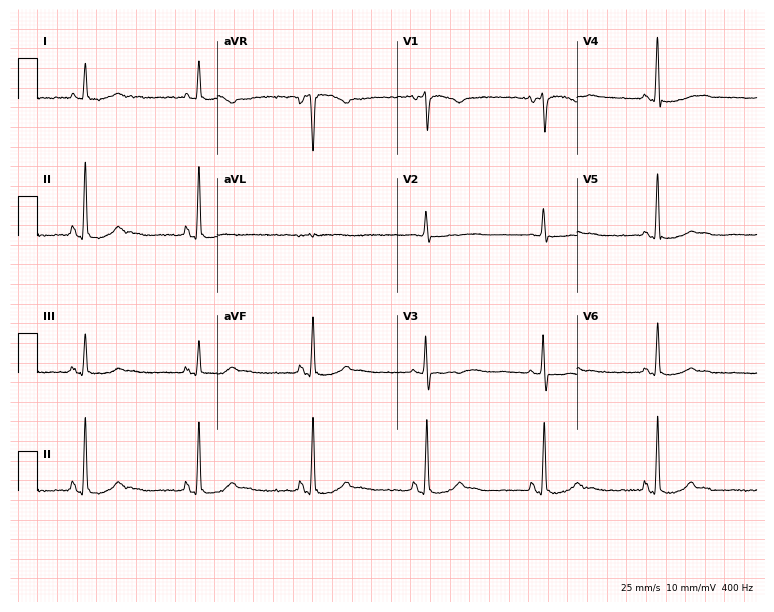
12-lead ECG from a 56-year-old man. Shows sinus bradycardia (a sinus rate of 50 beats per minute or less).